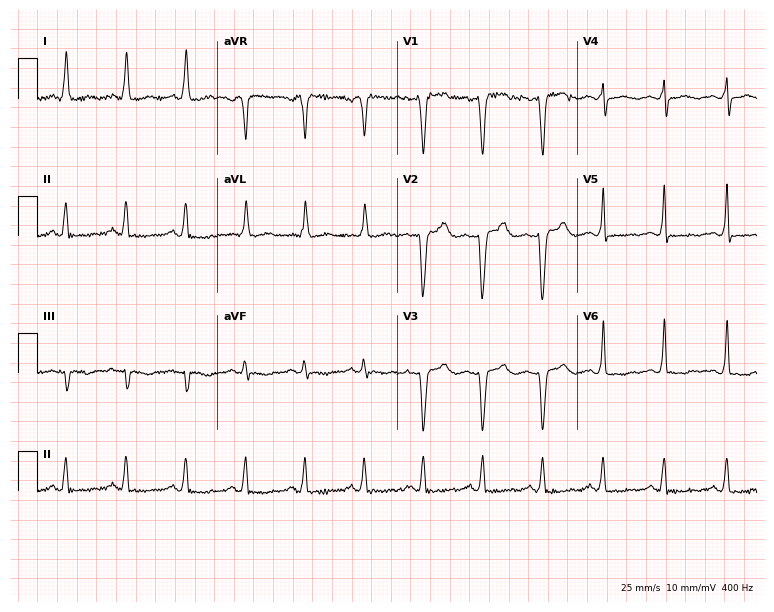
Resting 12-lead electrocardiogram. Patient: a 46-year-old female. None of these six findings is recorded: first-degree AV block, right bundle branch block (RBBB), left bundle branch block (LBBB), sinus bradycardia, atrial fibrillation (AF), sinus tachycardia. Findings outside these six are not listed.